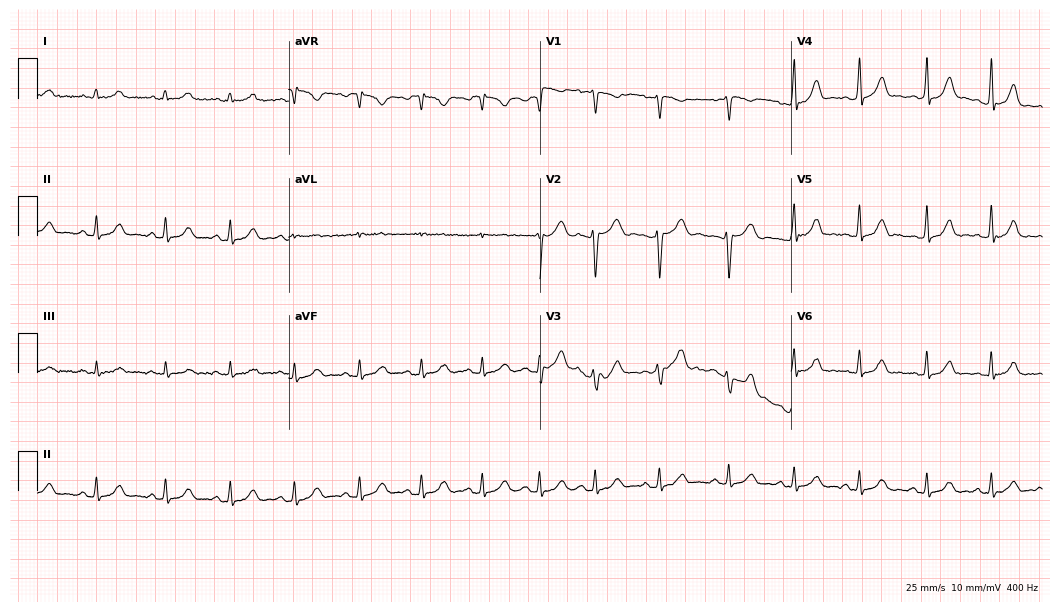
12-lead ECG from a 29-year-old female patient. Labelled as a normal ECG.